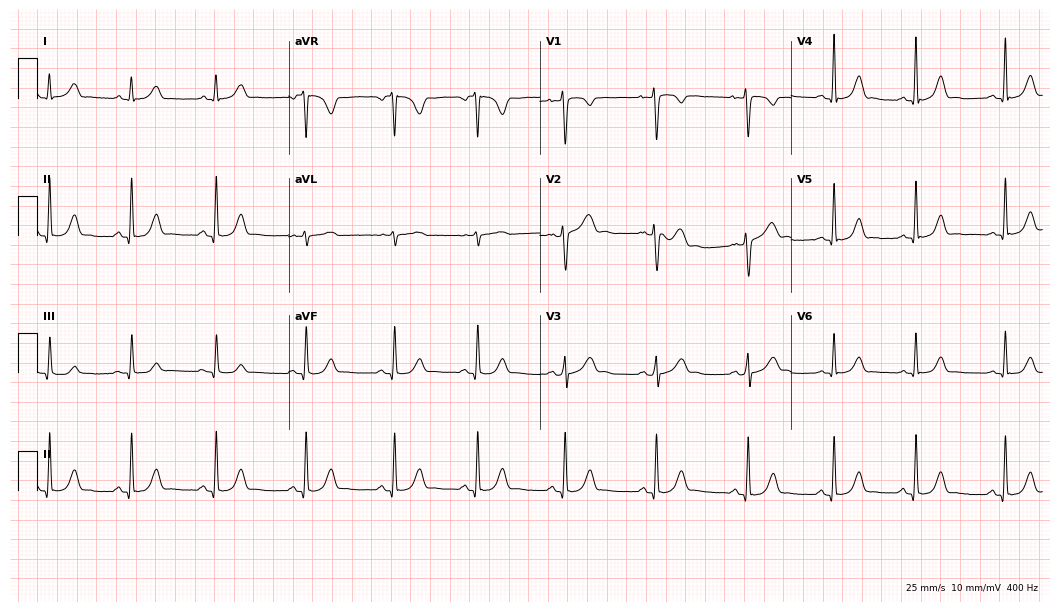
12-lead ECG from a 31-year-old woman (10.2-second recording at 400 Hz). Recorded interpretation: within normal limits.